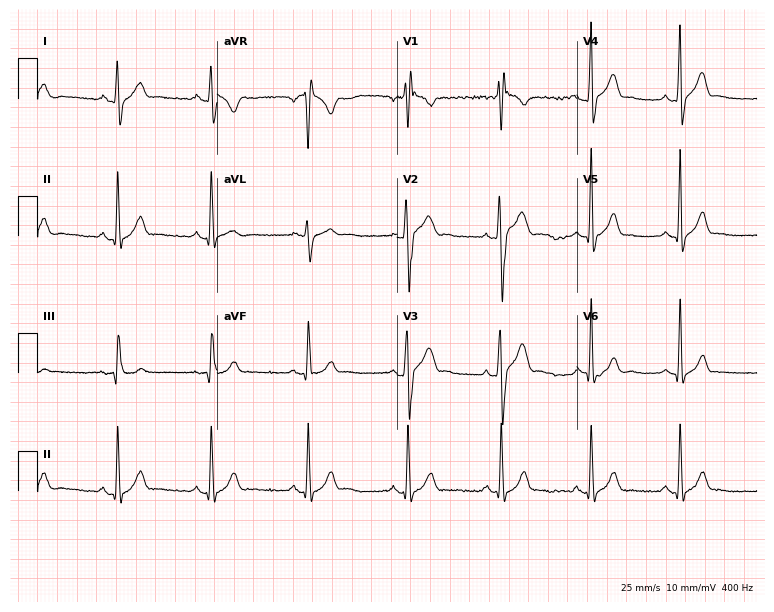
Resting 12-lead electrocardiogram (7.3-second recording at 400 Hz). Patient: a male, 19 years old. None of these six findings is recorded: first-degree AV block, right bundle branch block, left bundle branch block, sinus bradycardia, atrial fibrillation, sinus tachycardia.